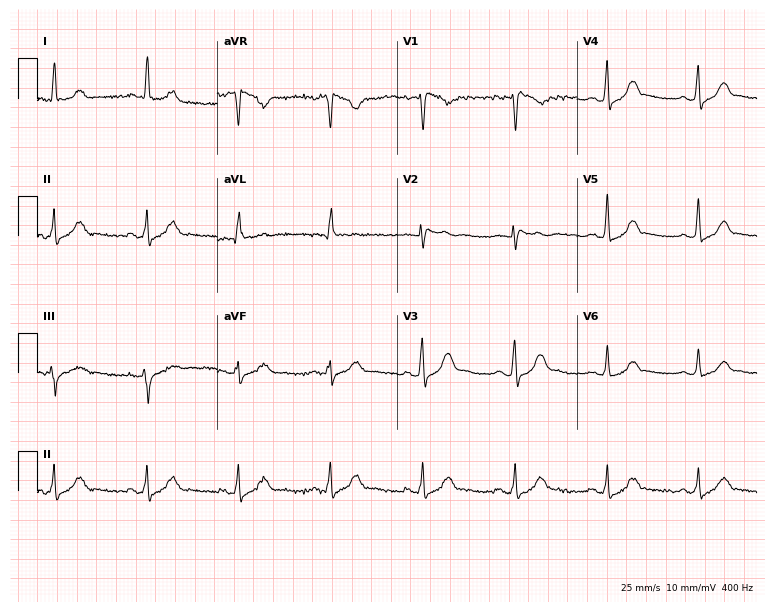
ECG (7.3-second recording at 400 Hz) — a female patient, 57 years old. Labelled as a normal ECG.